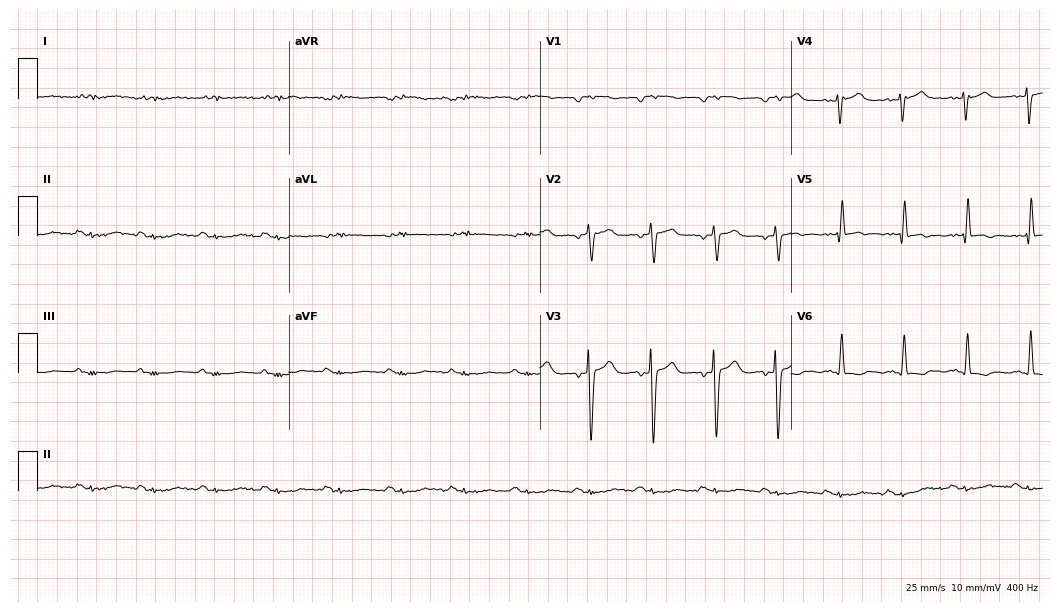
ECG (10.2-second recording at 400 Hz) — a 47-year-old male patient. Screened for six findings — first-degree AV block, right bundle branch block (RBBB), left bundle branch block (LBBB), sinus bradycardia, atrial fibrillation (AF), sinus tachycardia — none is recorded.